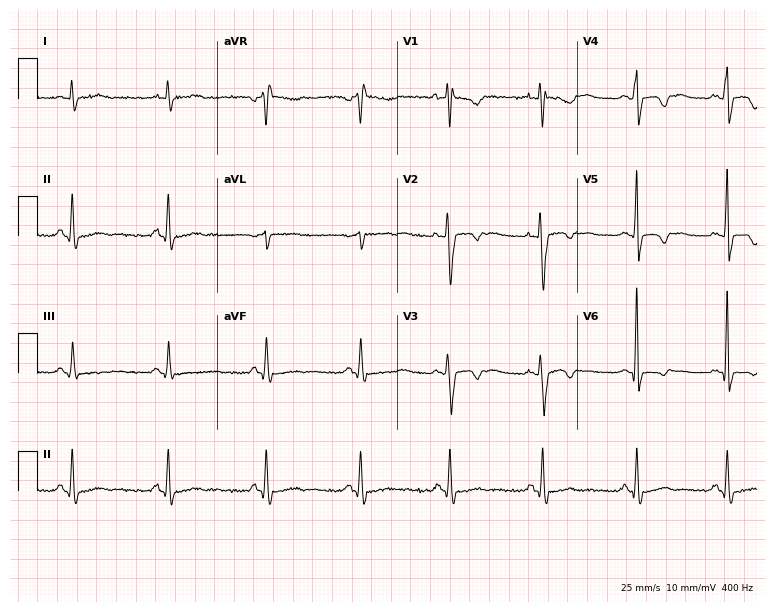
Resting 12-lead electrocardiogram. Patient: a 26-year-old male. None of these six findings is recorded: first-degree AV block, right bundle branch block, left bundle branch block, sinus bradycardia, atrial fibrillation, sinus tachycardia.